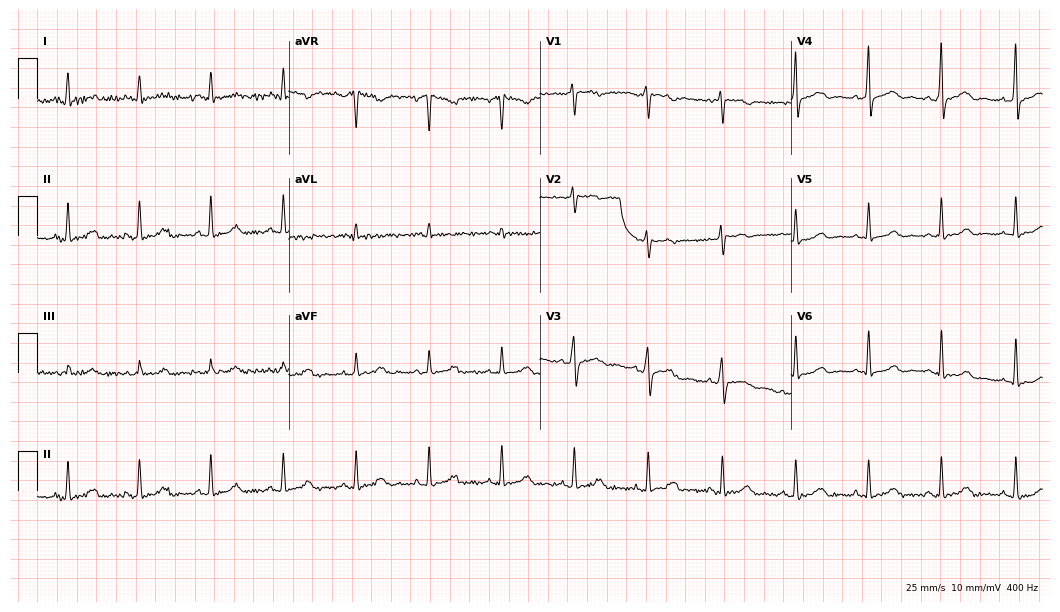
ECG — a female, 49 years old. Labelled as a normal ECG.